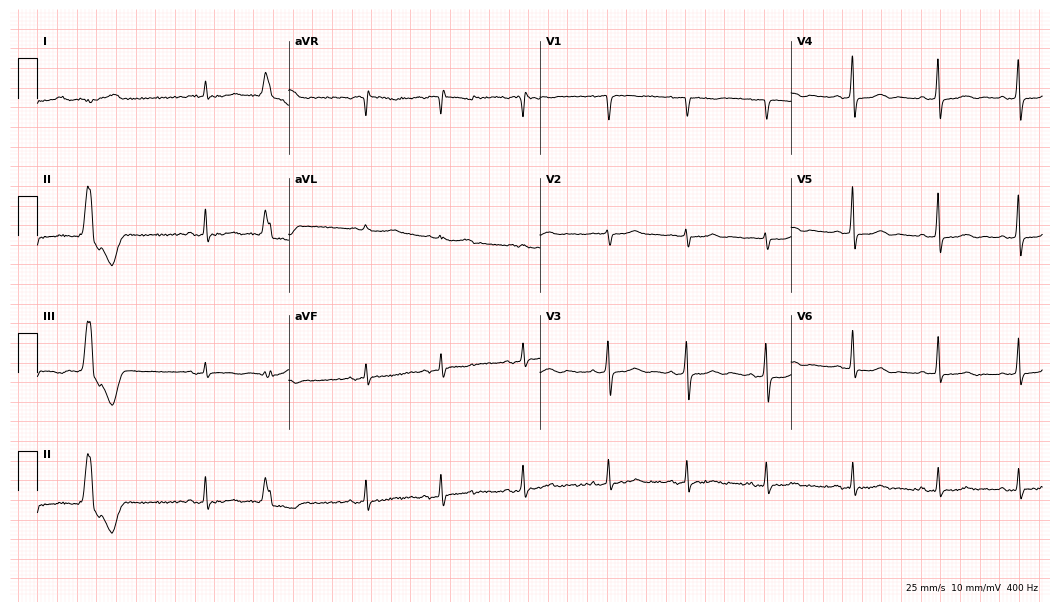
12-lead ECG from a woman, 84 years old. Screened for six findings — first-degree AV block, right bundle branch block, left bundle branch block, sinus bradycardia, atrial fibrillation, sinus tachycardia — none is recorded.